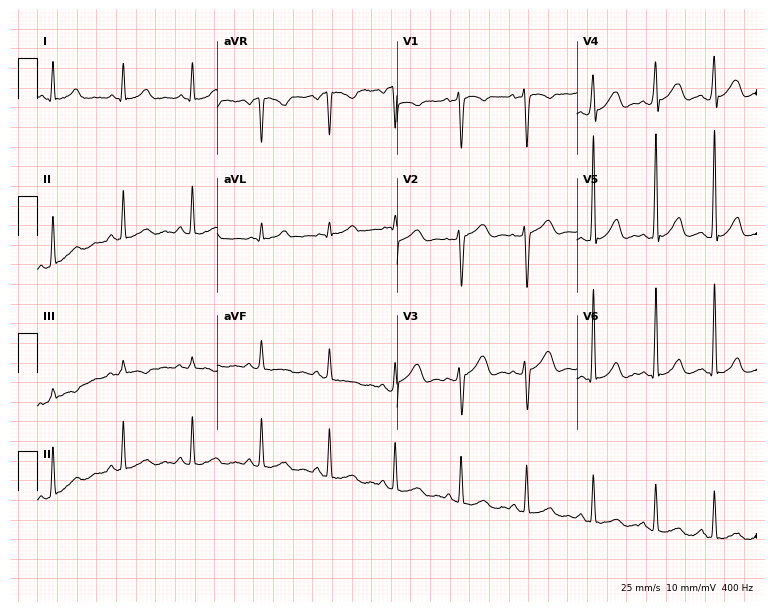
ECG (7.3-second recording at 400 Hz) — a 34-year-old male. Screened for six findings — first-degree AV block, right bundle branch block, left bundle branch block, sinus bradycardia, atrial fibrillation, sinus tachycardia — none is recorded. Findings outside these six are not listed.